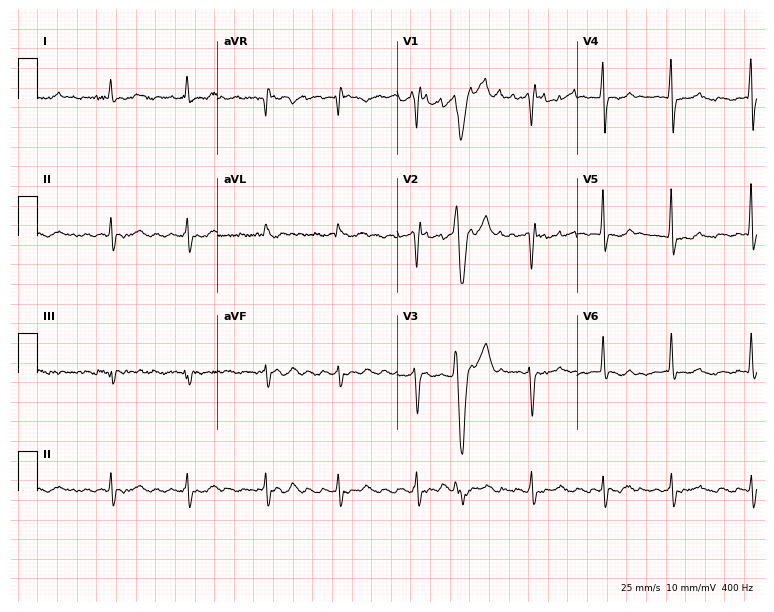
Electrocardiogram (7.3-second recording at 400 Hz), a 50-year-old woman. Overall reading on record: normal ECG.